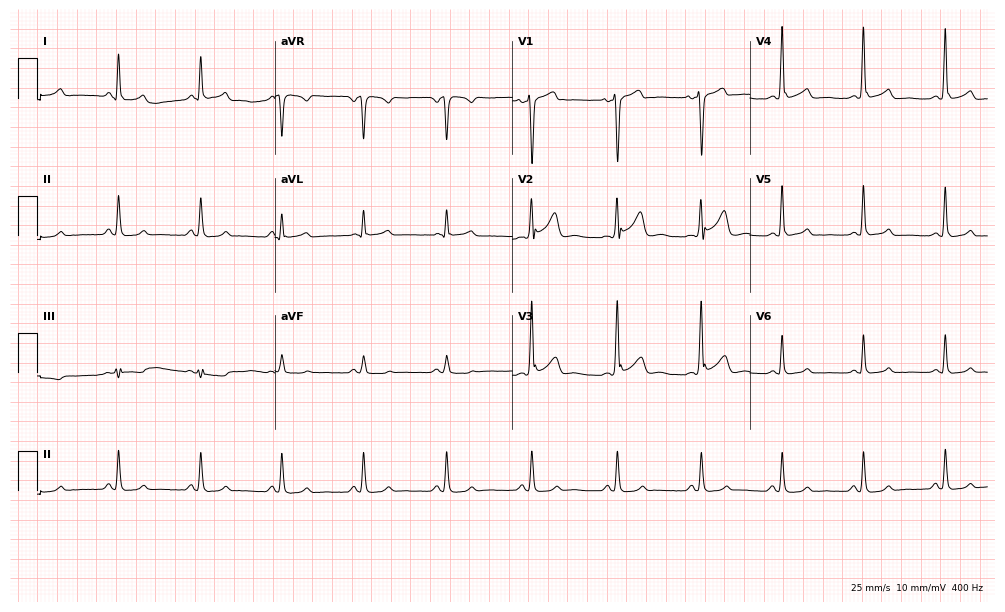
Electrocardiogram, a 41-year-old man. Overall reading on record: normal ECG.